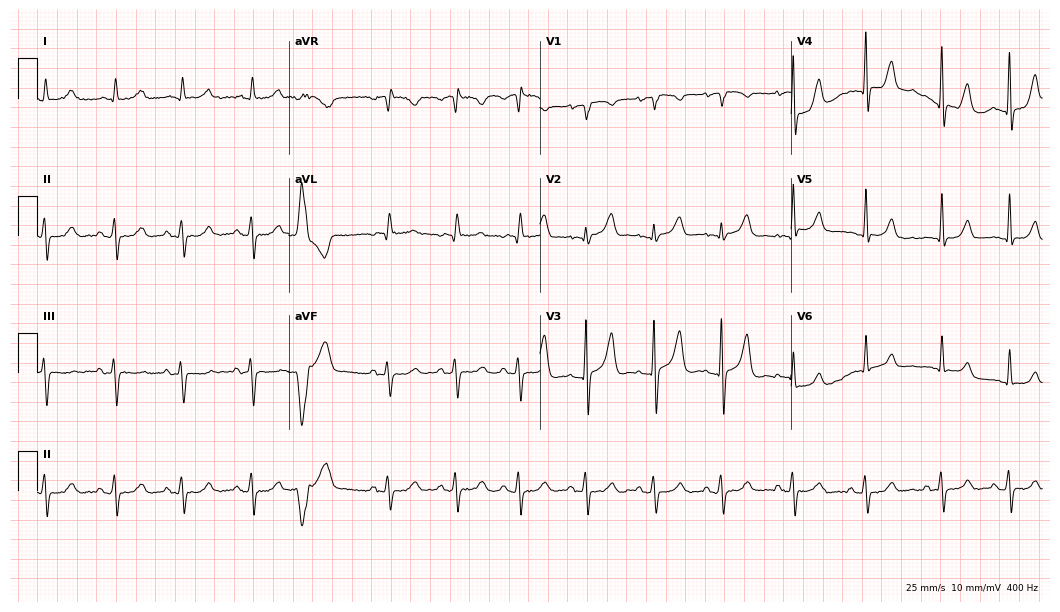
Standard 12-lead ECG recorded from a female, 72 years old. None of these six findings is recorded: first-degree AV block, right bundle branch block, left bundle branch block, sinus bradycardia, atrial fibrillation, sinus tachycardia.